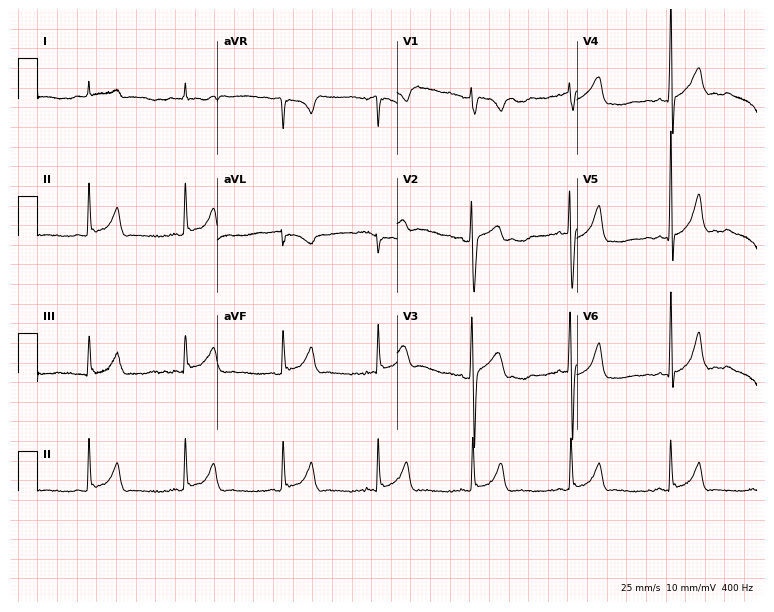
Standard 12-lead ECG recorded from an 18-year-old man. Read as a normal ECG.